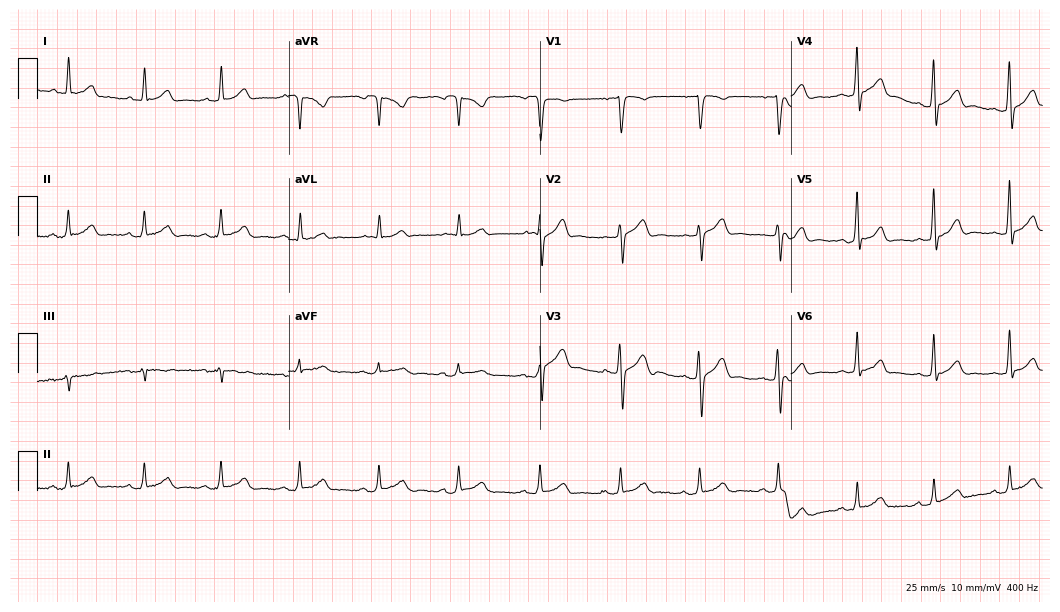
Standard 12-lead ECG recorded from a 36-year-old male (10.2-second recording at 400 Hz). Read as a normal ECG.